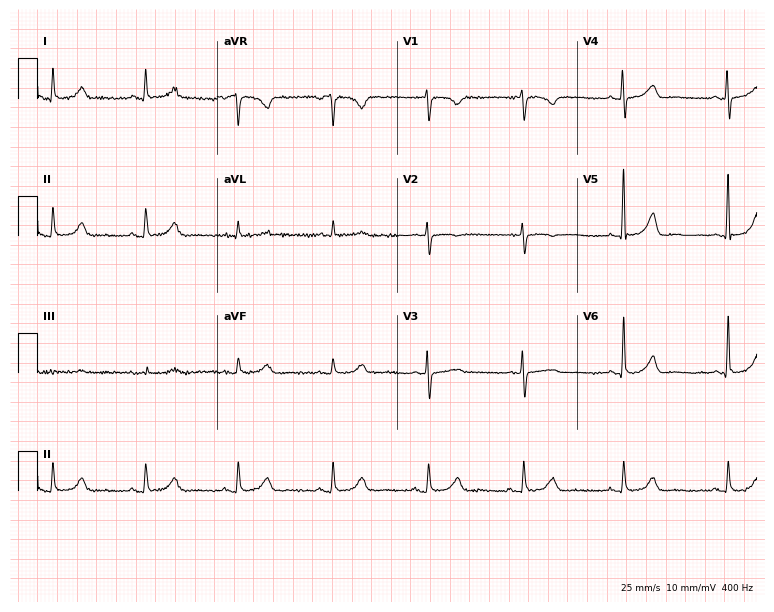
12-lead ECG (7.3-second recording at 400 Hz) from a female, 80 years old. Labelled as a normal ECG.